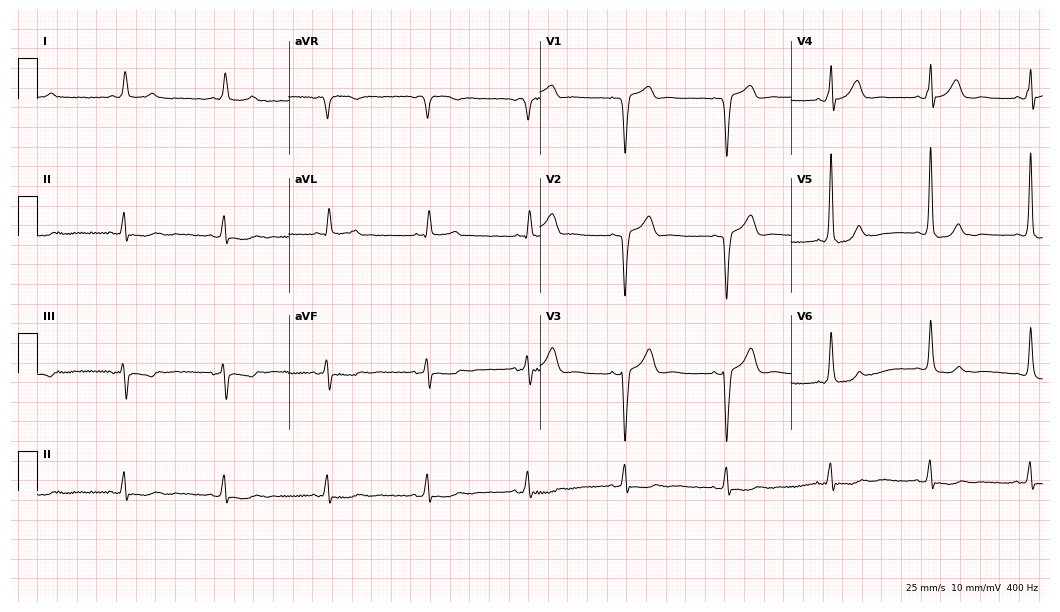
Standard 12-lead ECG recorded from a 78-year-old male. None of these six findings is recorded: first-degree AV block, right bundle branch block (RBBB), left bundle branch block (LBBB), sinus bradycardia, atrial fibrillation (AF), sinus tachycardia.